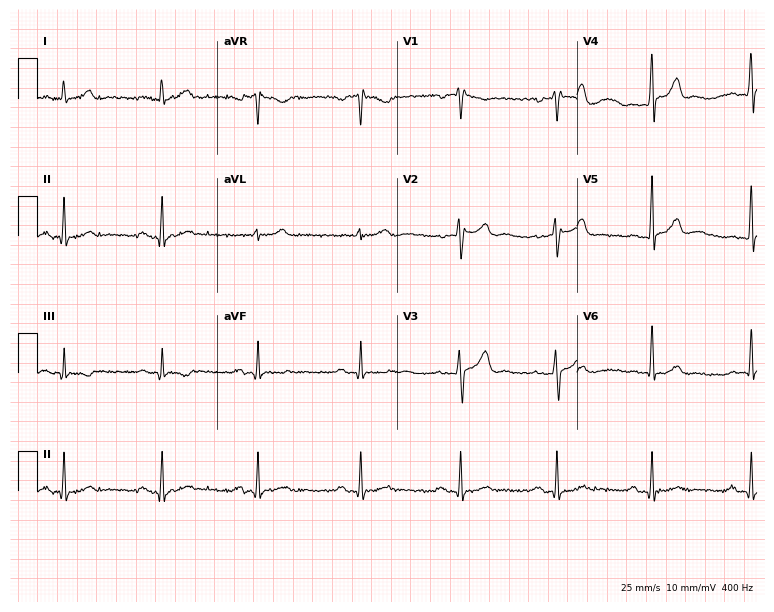
12-lead ECG from a 53-year-old male. Labelled as a normal ECG.